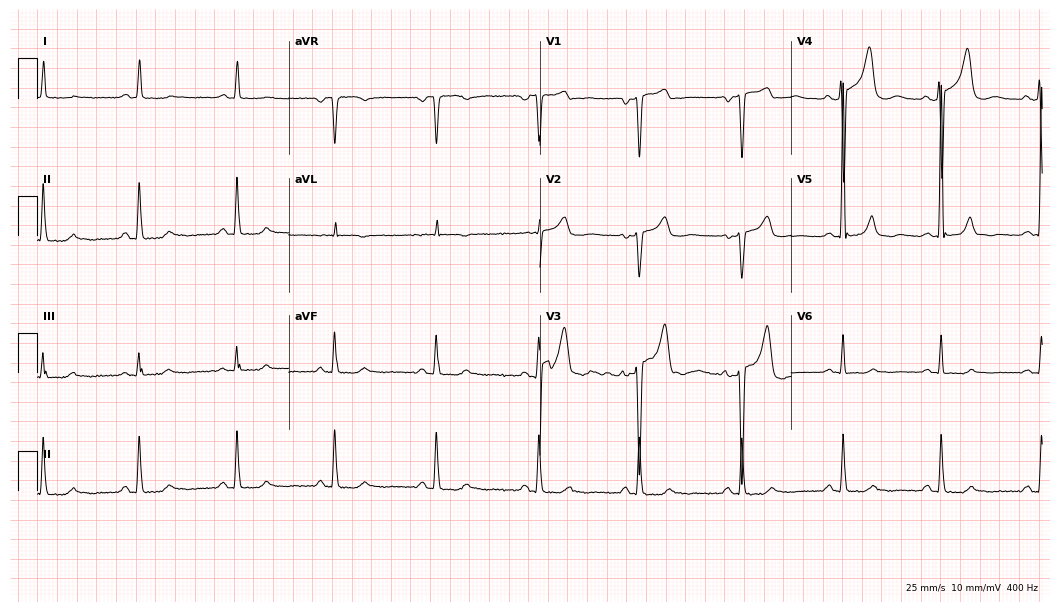
Standard 12-lead ECG recorded from a 60-year-old male patient (10.2-second recording at 400 Hz). None of these six findings is recorded: first-degree AV block, right bundle branch block, left bundle branch block, sinus bradycardia, atrial fibrillation, sinus tachycardia. Only these six findings were labelled.